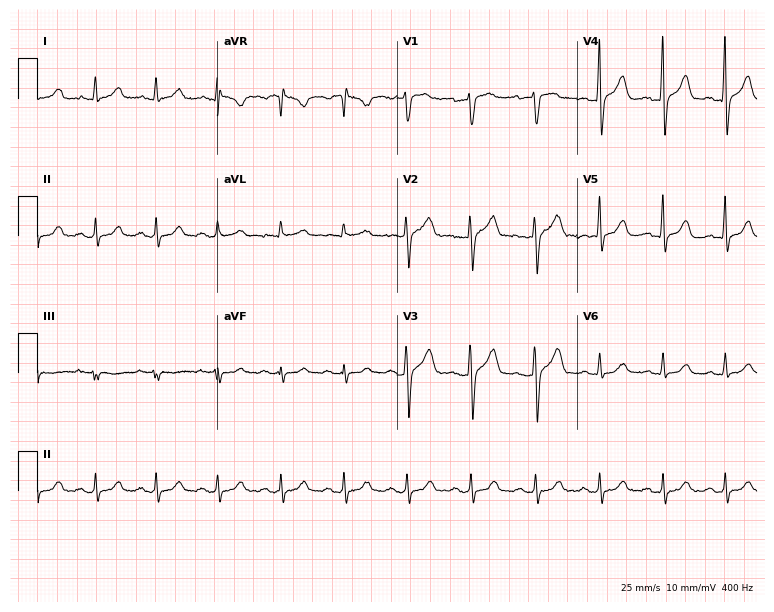
12-lead ECG (7.3-second recording at 400 Hz) from a female patient, 51 years old. Screened for six findings — first-degree AV block, right bundle branch block (RBBB), left bundle branch block (LBBB), sinus bradycardia, atrial fibrillation (AF), sinus tachycardia — none is recorded. Findings outside these six are not listed.